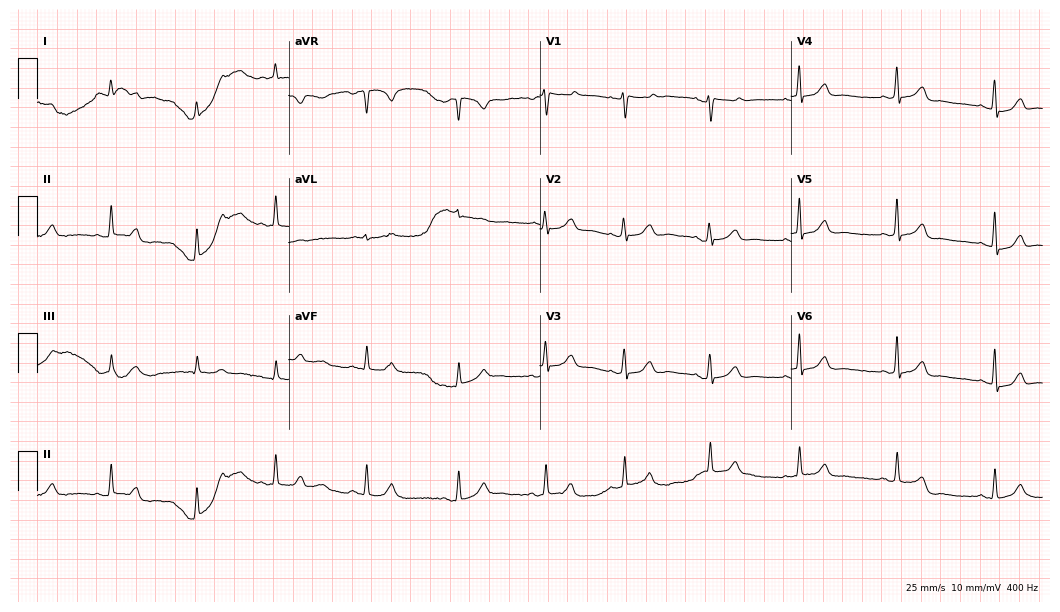
12-lead ECG from a female, 22 years old (10.2-second recording at 400 Hz). Recorded interpretation: within normal limits.